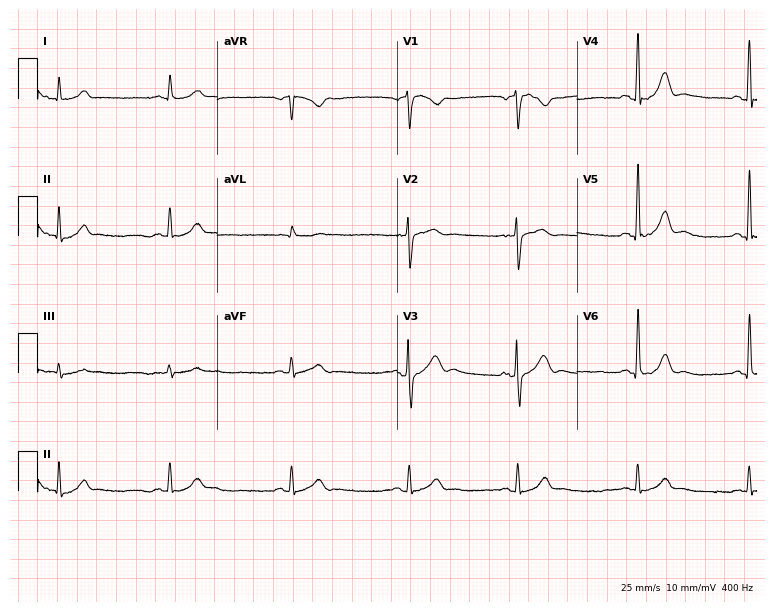
Standard 12-lead ECG recorded from a male, 76 years old (7.3-second recording at 400 Hz). None of these six findings is recorded: first-degree AV block, right bundle branch block, left bundle branch block, sinus bradycardia, atrial fibrillation, sinus tachycardia.